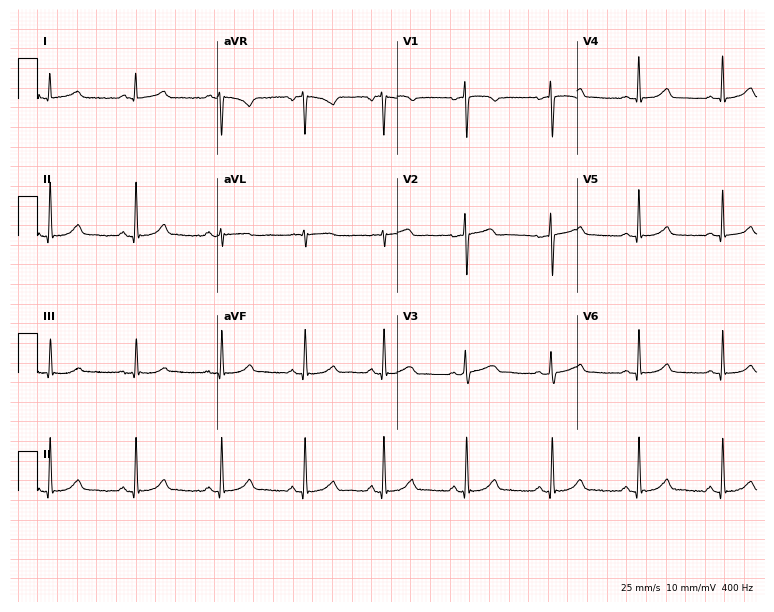
ECG (7.3-second recording at 400 Hz) — a female patient, 37 years old. Labelled as a normal ECG.